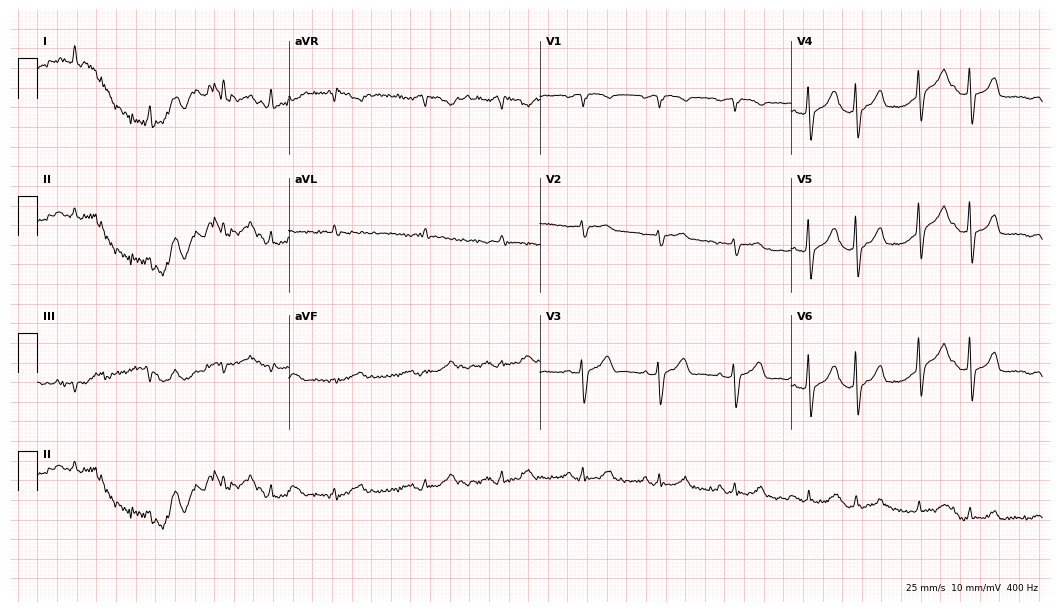
Resting 12-lead electrocardiogram. Patient: a male, 78 years old. The tracing shows atrial fibrillation.